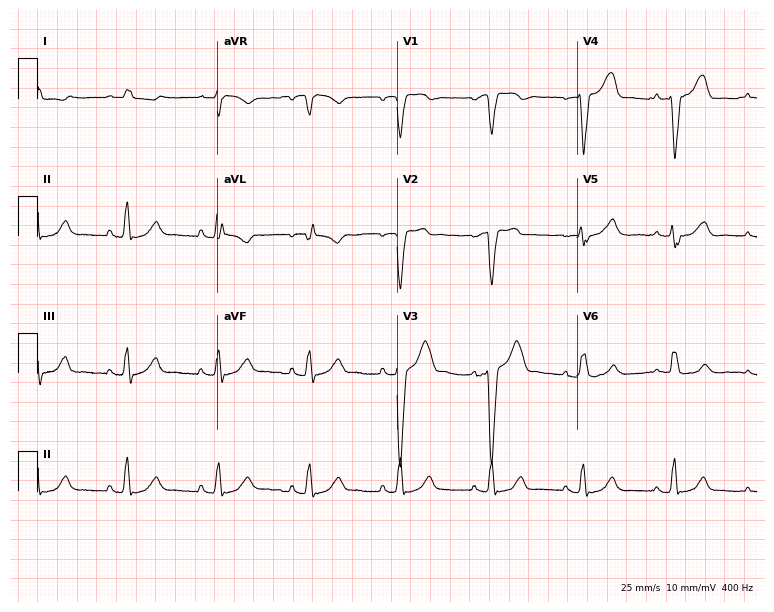
ECG — a male patient, 84 years old. Findings include left bundle branch block (LBBB).